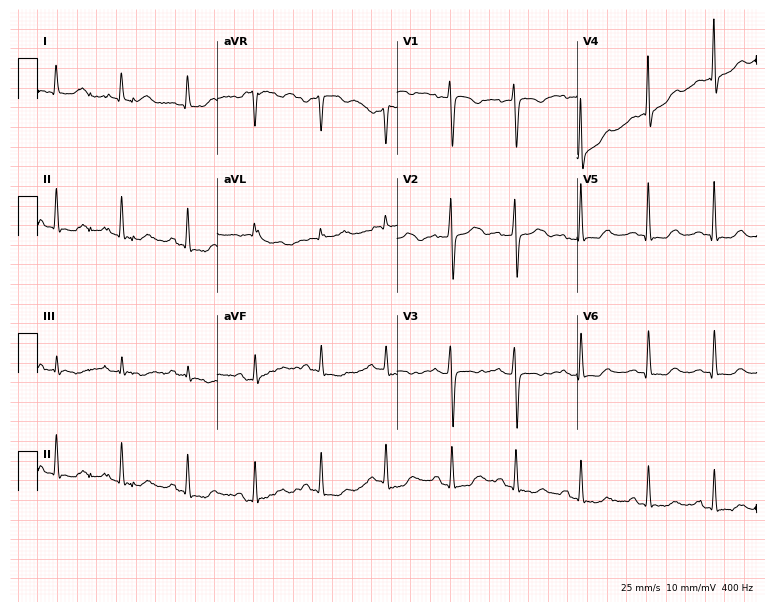
12-lead ECG (7.3-second recording at 400 Hz) from a female patient, 44 years old. Screened for six findings — first-degree AV block, right bundle branch block, left bundle branch block, sinus bradycardia, atrial fibrillation, sinus tachycardia — none is recorded.